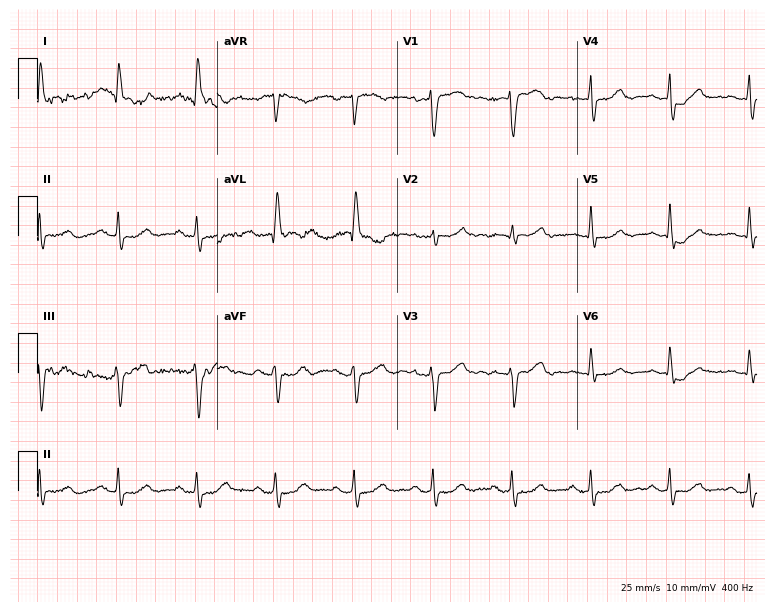
Standard 12-lead ECG recorded from a woman, 84 years old (7.3-second recording at 400 Hz). None of these six findings is recorded: first-degree AV block, right bundle branch block, left bundle branch block, sinus bradycardia, atrial fibrillation, sinus tachycardia. Findings outside these six are not listed.